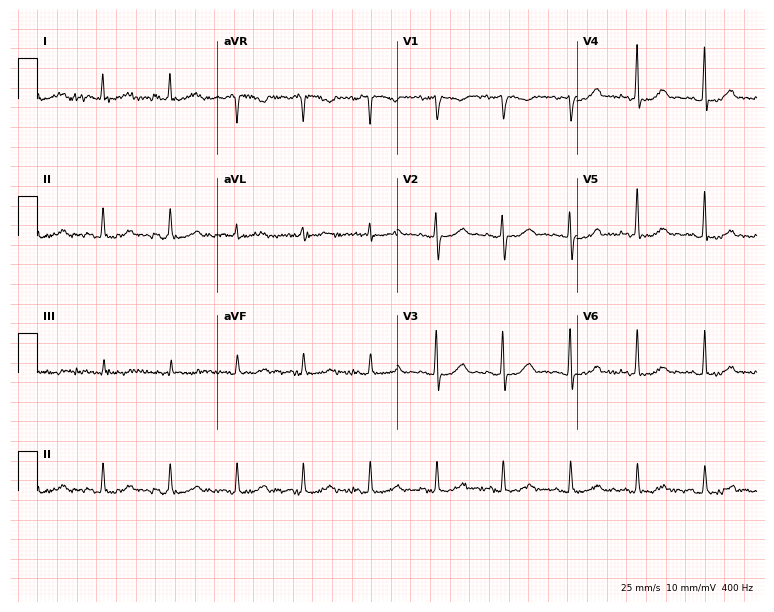
Electrocardiogram, a female patient, 80 years old. Of the six screened findings (first-degree AV block, right bundle branch block (RBBB), left bundle branch block (LBBB), sinus bradycardia, atrial fibrillation (AF), sinus tachycardia), none is recorded.